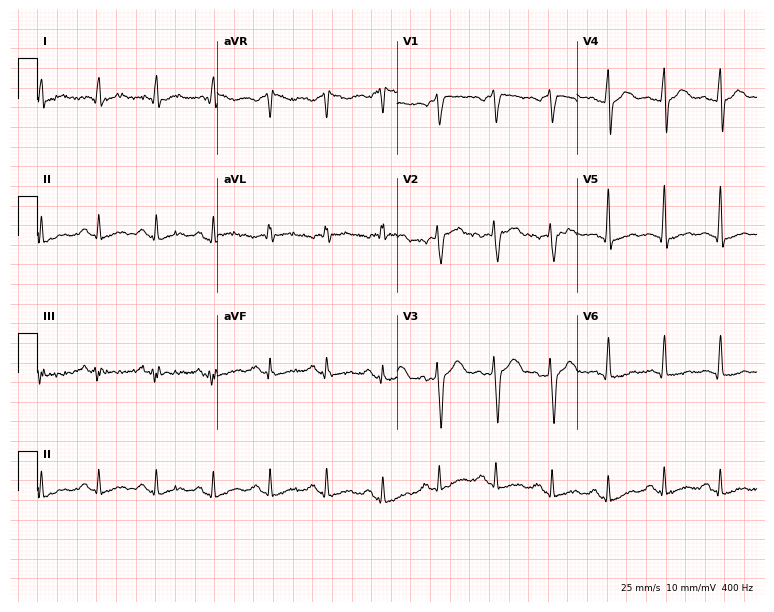
Resting 12-lead electrocardiogram. Patient: a male, 53 years old. The tracing shows sinus tachycardia (a sinus rate of 100 beats per minute or more).